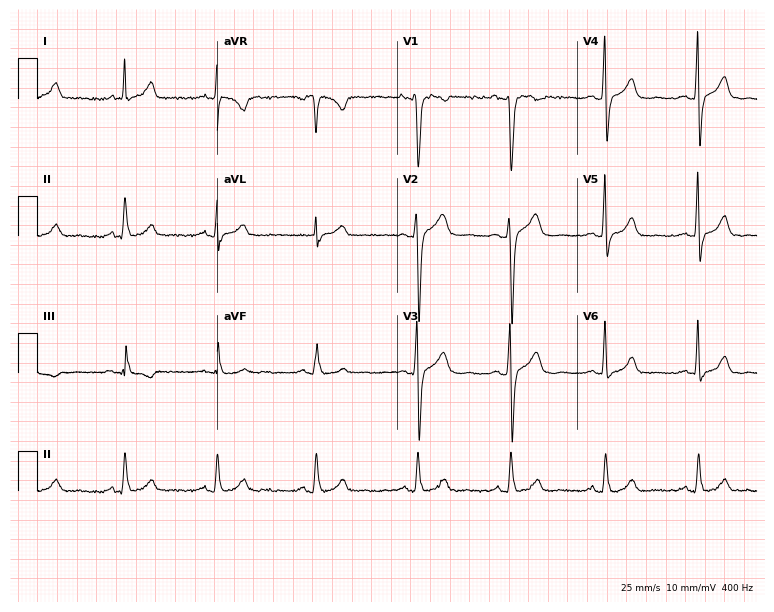
12-lead ECG from a male, 44 years old. Recorded interpretation: within normal limits.